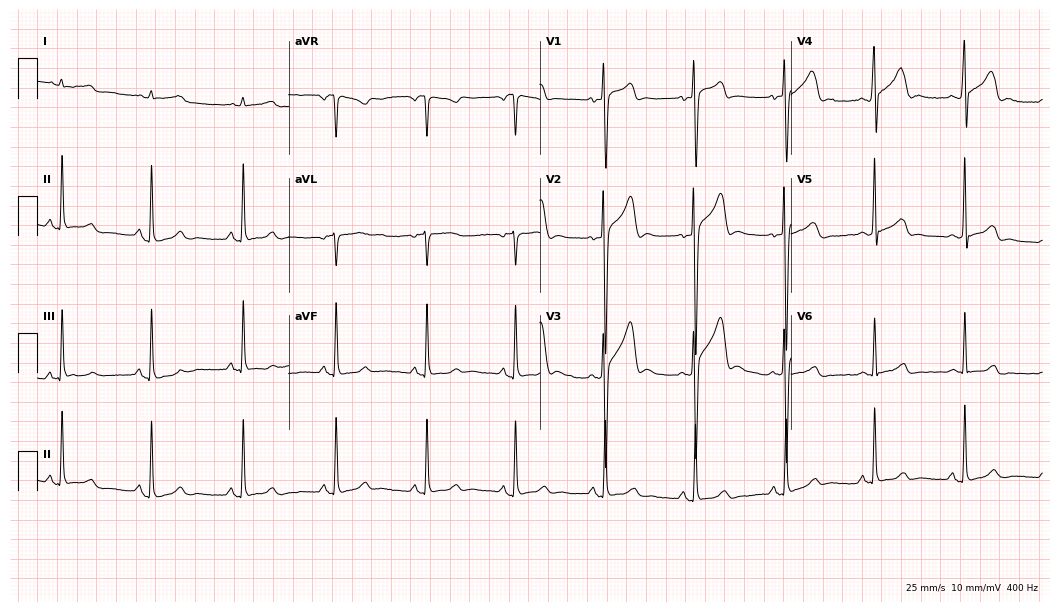
Standard 12-lead ECG recorded from a man, 26 years old. Read as a normal ECG.